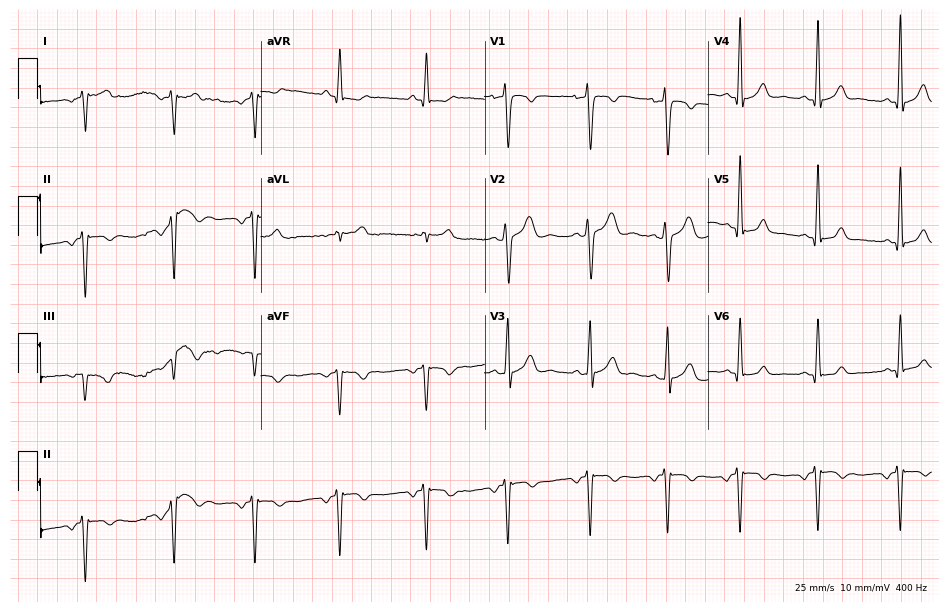
Standard 12-lead ECG recorded from a 26-year-old male (9.1-second recording at 400 Hz). None of these six findings is recorded: first-degree AV block, right bundle branch block, left bundle branch block, sinus bradycardia, atrial fibrillation, sinus tachycardia.